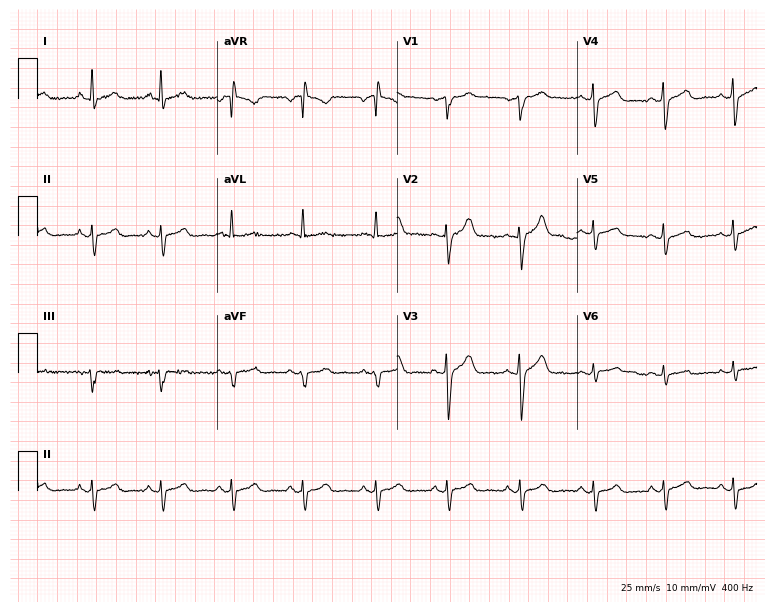
Standard 12-lead ECG recorded from a male, 32 years old. None of these six findings is recorded: first-degree AV block, right bundle branch block, left bundle branch block, sinus bradycardia, atrial fibrillation, sinus tachycardia.